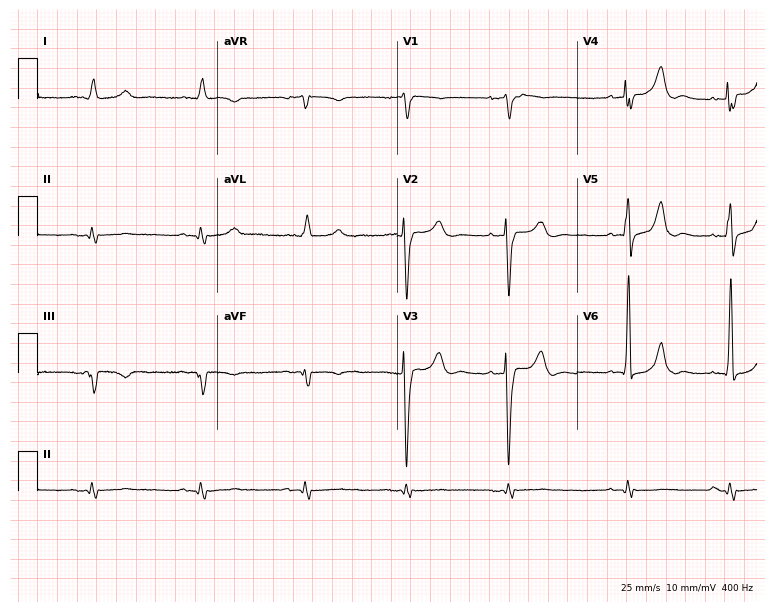
ECG (7.3-second recording at 400 Hz) — a 77-year-old man. Screened for six findings — first-degree AV block, right bundle branch block, left bundle branch block, sinus bradycardia, atrial fibrillation, sinus tachycardia — none is recorded. Other findings, if any, are not listed.